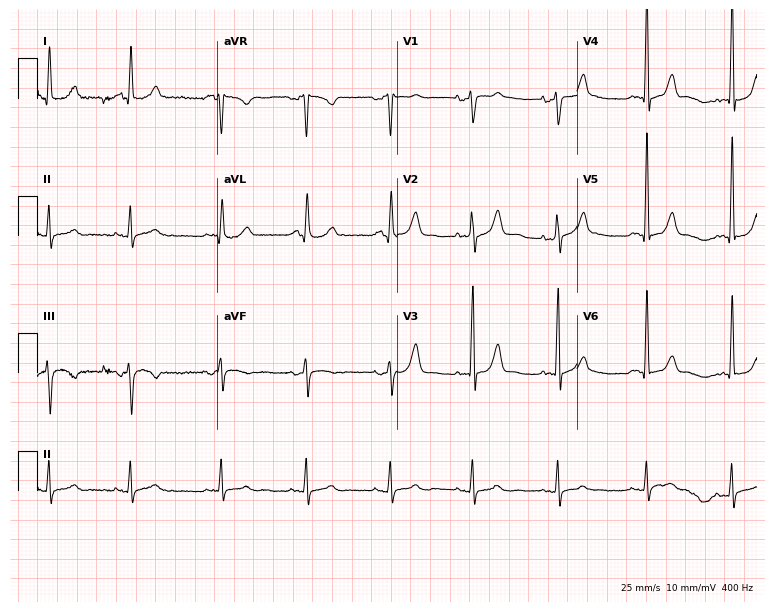
12-lead ECG (7.3-second recording at 400 Hz) from a female patient, 59 years old. Screened for six findings — first-degree AV block, right bundle branch block (RBBB), left bundle branch block (LBBB), sinus bradycardia, atrial fibrillation (AF), sinus tachycardia — none is recorded. Findings outside these six are not listed.